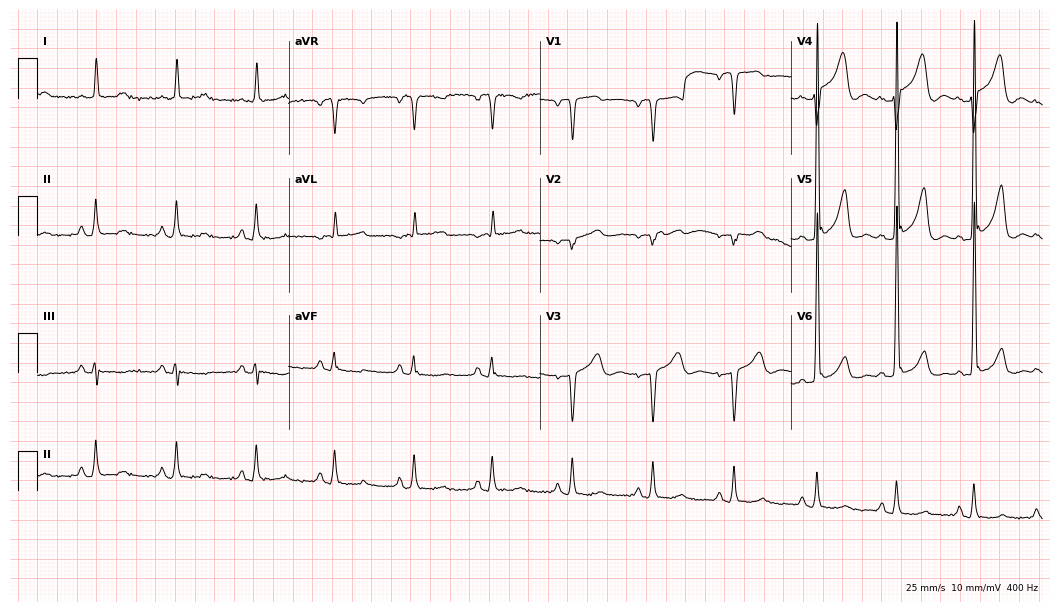
ECG — a 79-year-old man. Screened for six findings — first-degree AV block, right bundle branch block, left bundle branch block, sinus bradycardia, atrial fibrillation, sinus tachycardia — none is recorded. Only these six findings were labelled.